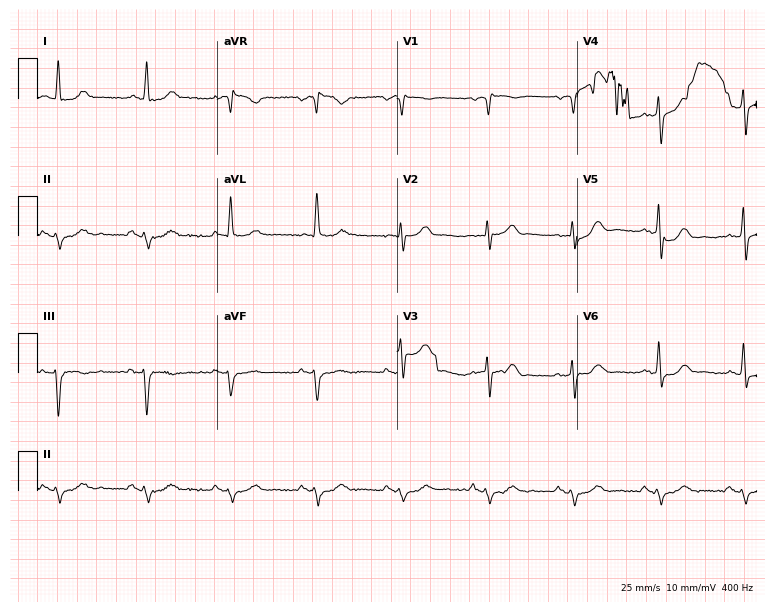
12-lead ECG from a 69-year-old male. No first-degree AV block, right bundle branch block, left bundle branch block, sinus bradycardia, atrial fibrillation or sinus tachycardia recorded for this tracing. Findings outside these six are not listed.